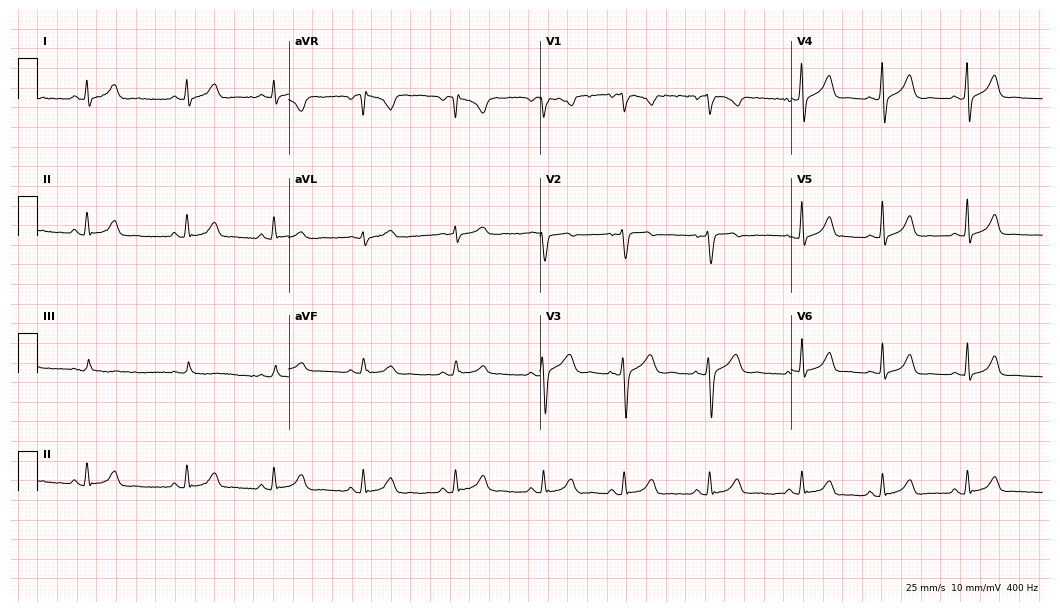
12-lead ECG from a 30-year-old female patient. Labelled as a normal ECG.